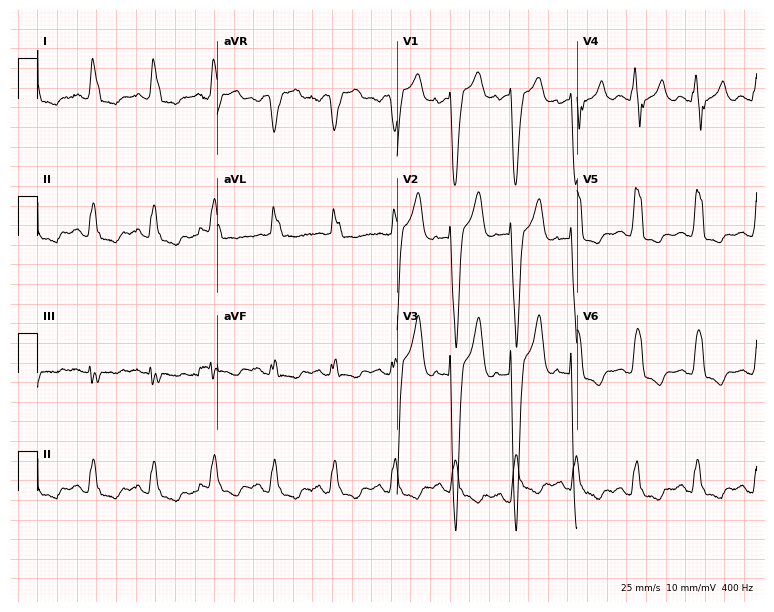
Standard 12-lead ECG recorded from a 70-year-old female patient. The tracing shows left bundle branch block (LBBB).